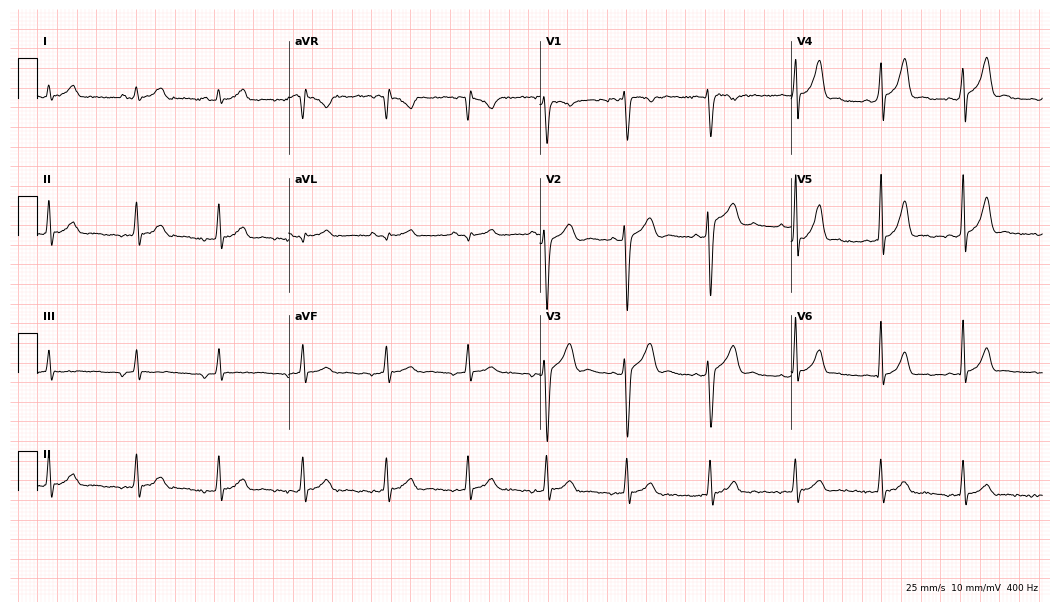
Electrocardiogram (10.2-second recording at 400 Hz), a 19-year-old man. Of the six screened findings (first-degree AV block, right bundle branch block, left bundle branch block, sinus bradycardia, atrial fibrillation, sinus tachycardia), none is recorded.